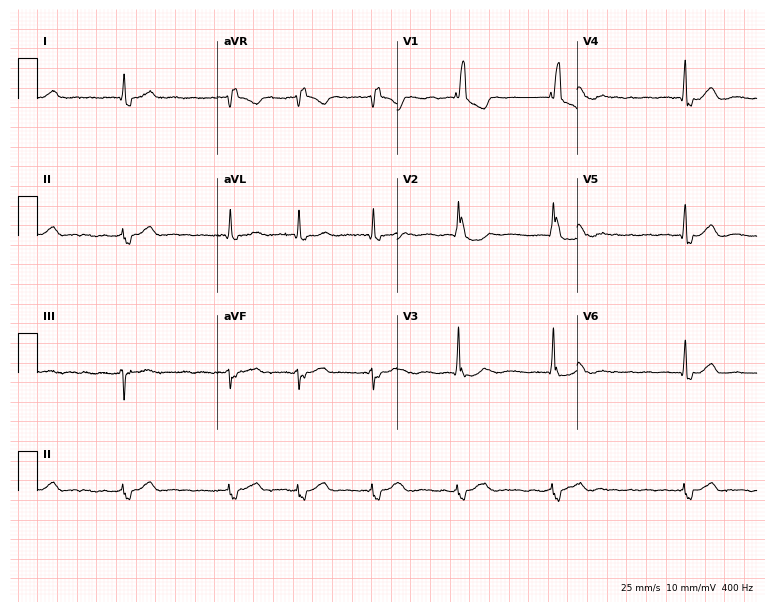
12-lead ECG from a 73-year-old man. Findings include right bundle branch block, atrial fibrillation.